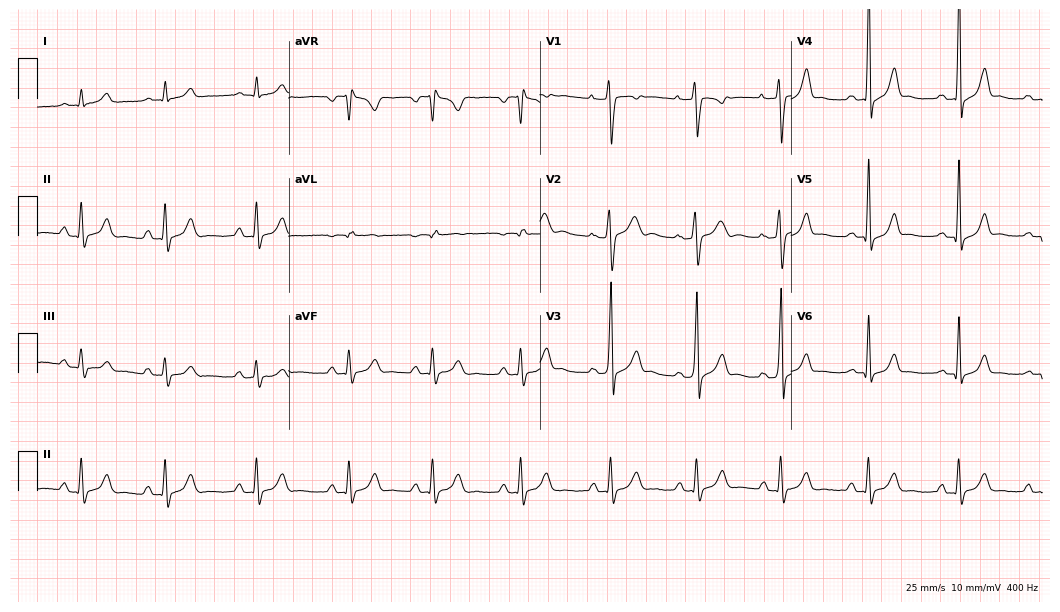
Resting 12-lead electrocardiogram. Patient: a 23-year-old male. None of these six findings is recorded: first-degree AV block, right bundle branch block, left bundle branch block, sinus bradycardia, atrial fibrillation, sinus tachycardia.